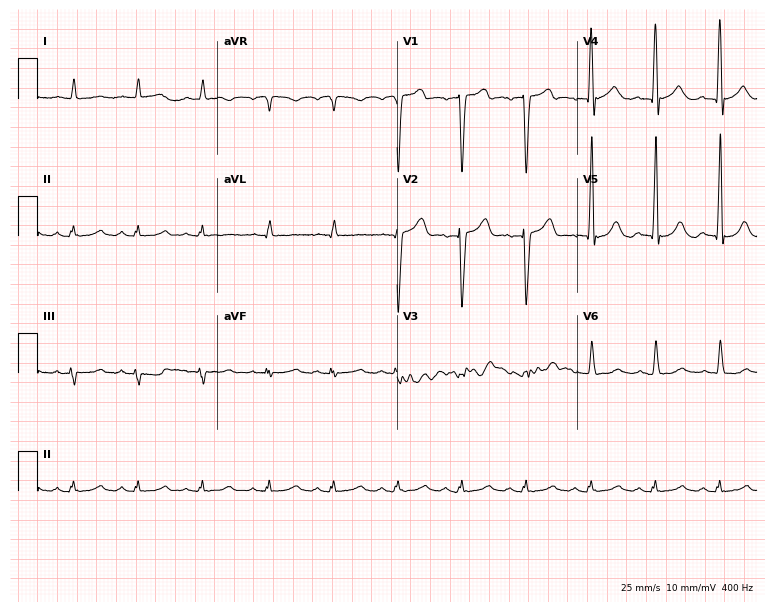
Standard 12-lead ECG recorded from a 71-year-old man. None of these six findings is recorded: first-degree AV block, right bundle branch block, left bundle branch block, sinus bradycardia, atrial fibrillation, sinus tachycardia. Other findings, if any, are not listed.